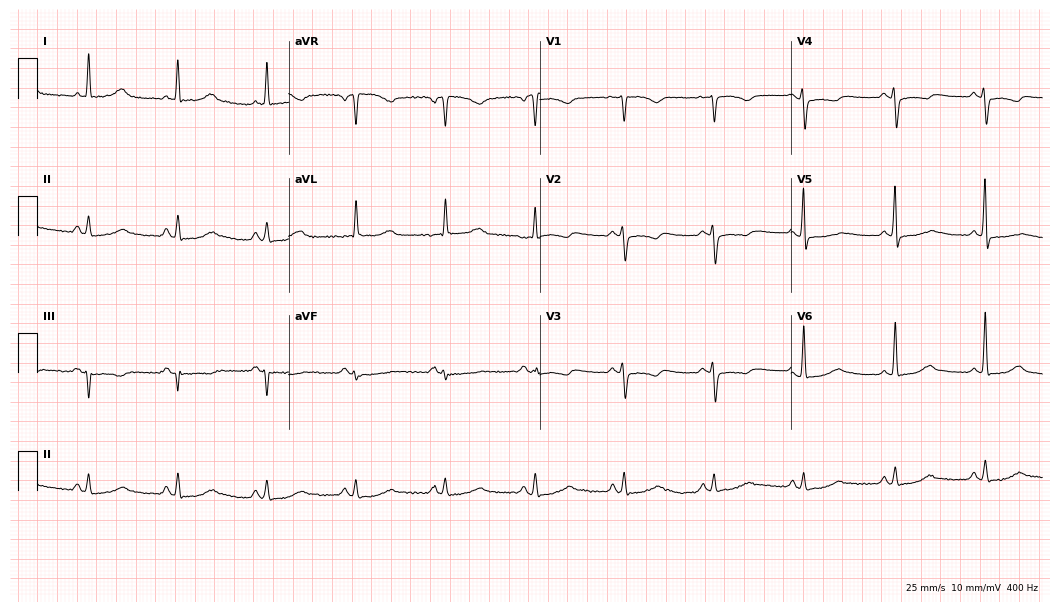
12-lead ECG from a 73-year-old woman. No first-degree AV block, right bundle branch block, left bundle branch block, sinus bradycardia, atrial fibrillation or sinus tachycardia recorded for this tracing. Only these six findings were labelled.